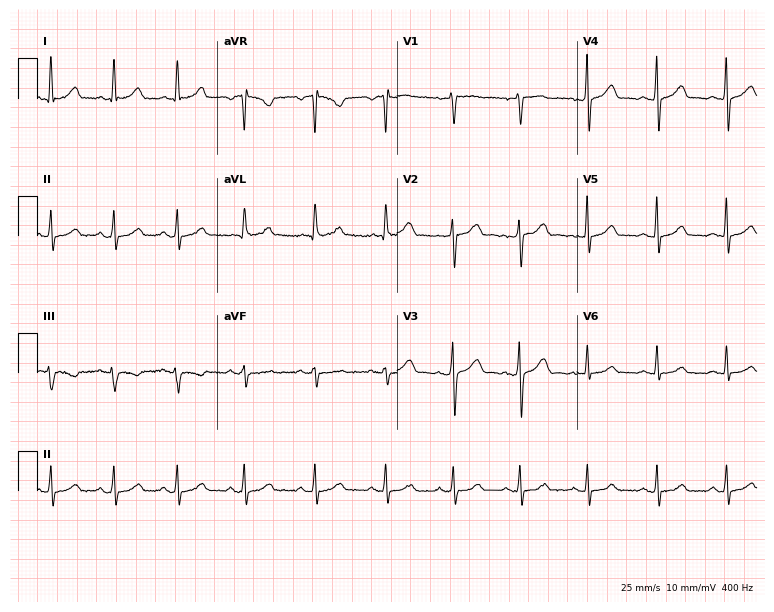
12-lead ECG from a 38-year-old woman. Recorded interpretation: within normal limits.